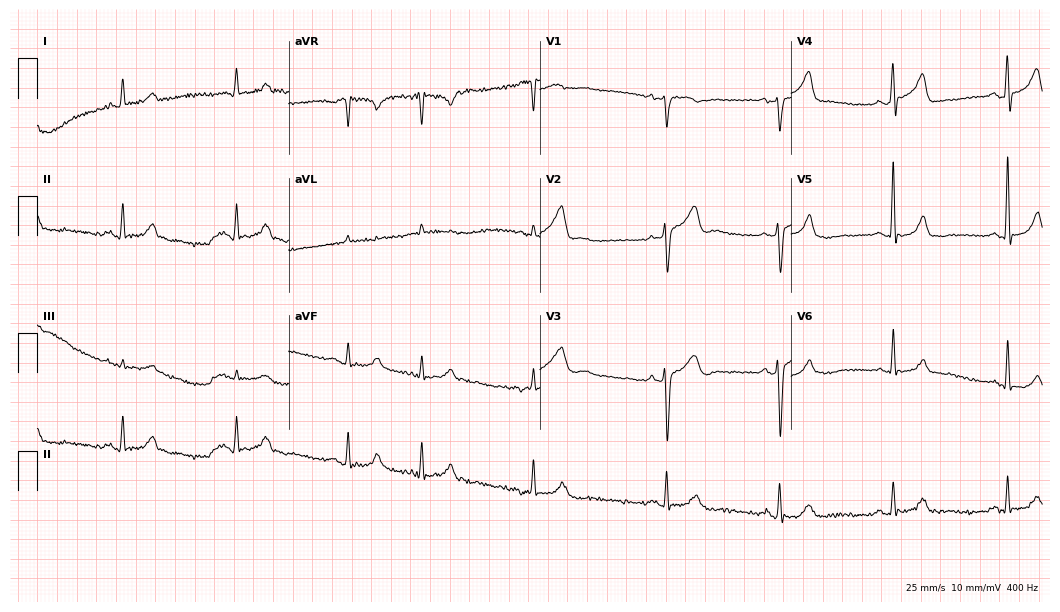
12-lead ECG from a male patient, 70 years old. Screened for six findings — first-degree AV block, right bundle branch block, left bundle branch block, sinus bradycardia, atrial fibrillation, sinus tachycardia — none is recorded.